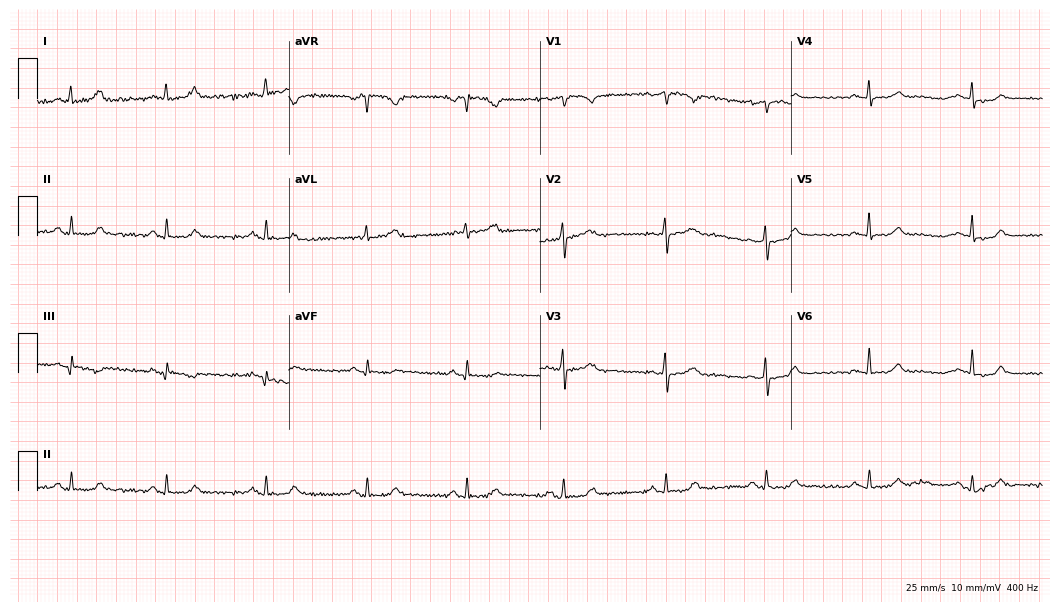
12-lead ECG (10.2-second recording at 400 Hz) from a 47-year-old female patient. Screened for six findings — first-degree AV block, right bundle branch block, left bundle branch block, sinus bradycardia, atrial fibrillation, sinus tachycardia — none is recorded.